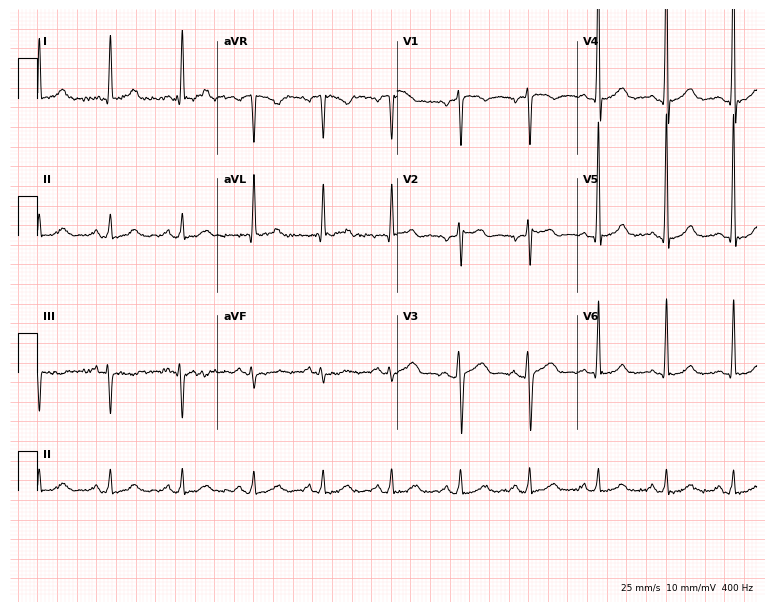
12-lead ECG from a male patient, 41 years old (7.3-second recording at 400 Hz). Recorded interpretation: within normal limits.